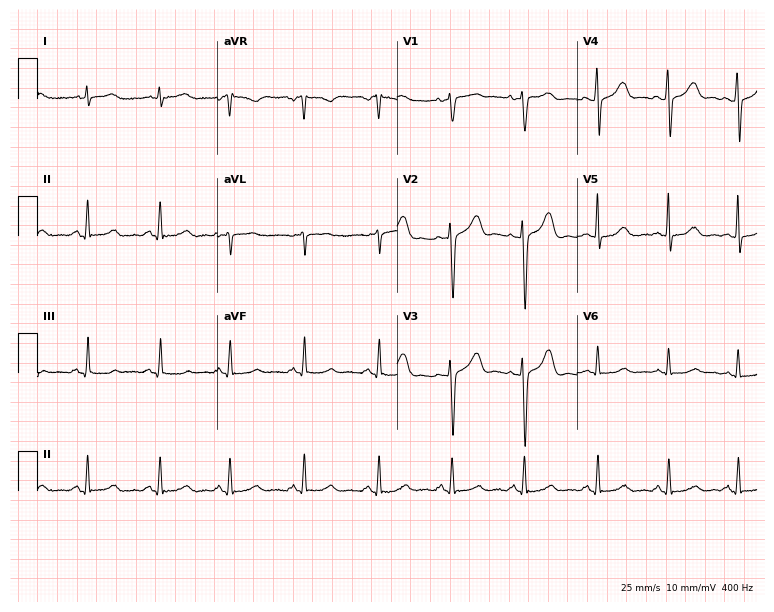
Electrocardiogram, a 44-year-old woman. Of the six screened findings (first-degree AV block, right bundle branch block, left bundle branch block, sinus bradycardia, atrial fibrillation, sinus tachycardia), none is recorded. Only these six findings were labelled.